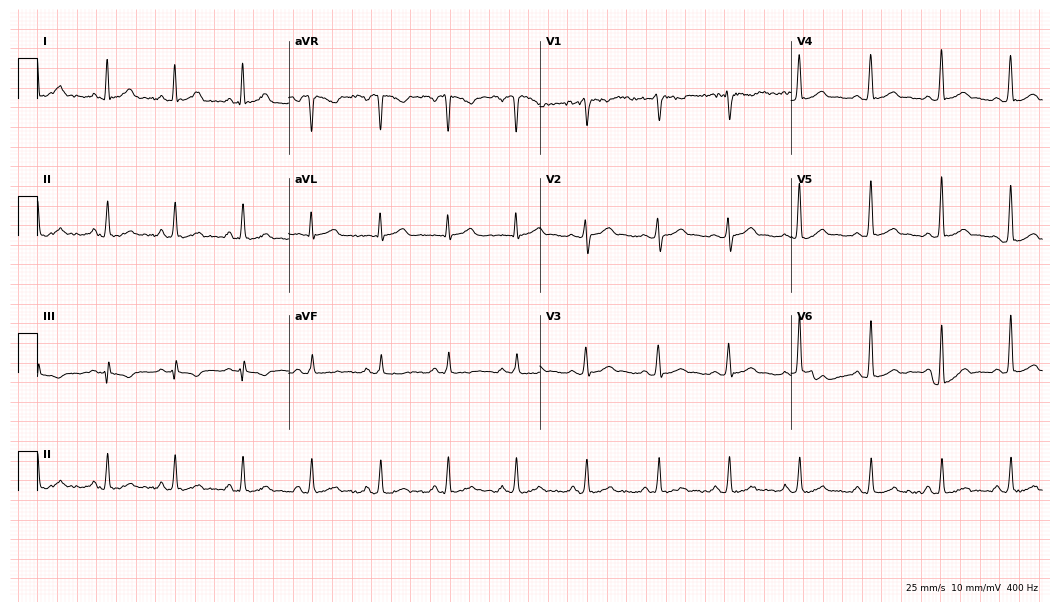
ECG — a 30-year-old male. Labelled as a normal ECG.